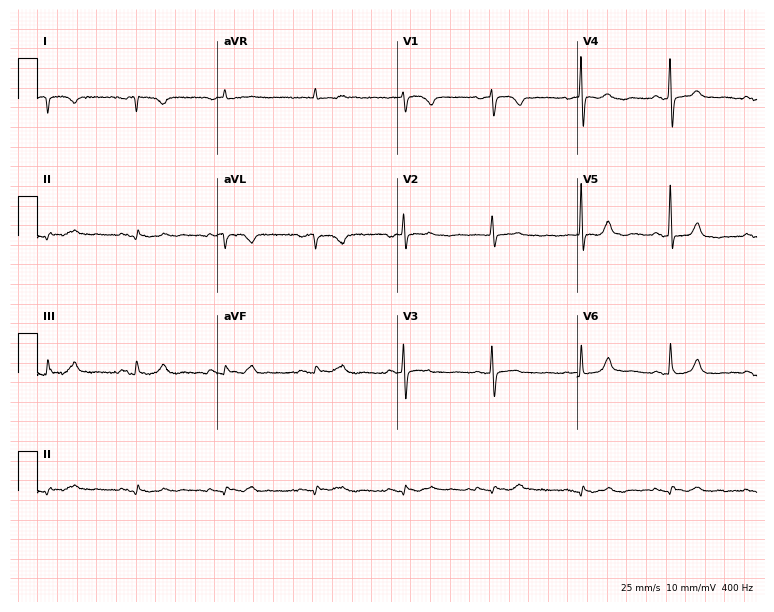
Resting 12-lead electrocardiogram (7.3-second recording at 400 Hz). Patient: a female, 75 years old. None of these six findings is recorded: first-degree AV block, right bundle branch block, left bundle branch block, sinus bradycardia, atrial fibrillation, sinus tachycardia.